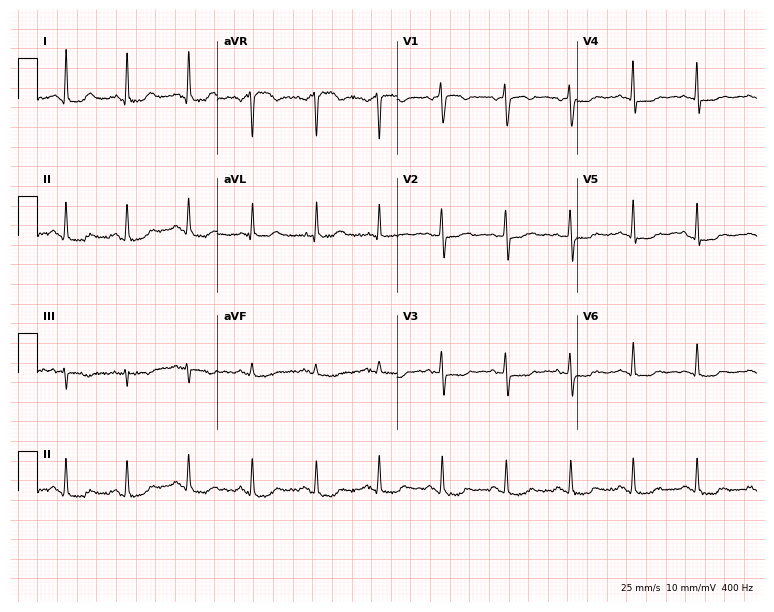
Standard 12-lead ECG recorded from a 49-year-old woman. Read as a normal ECG.